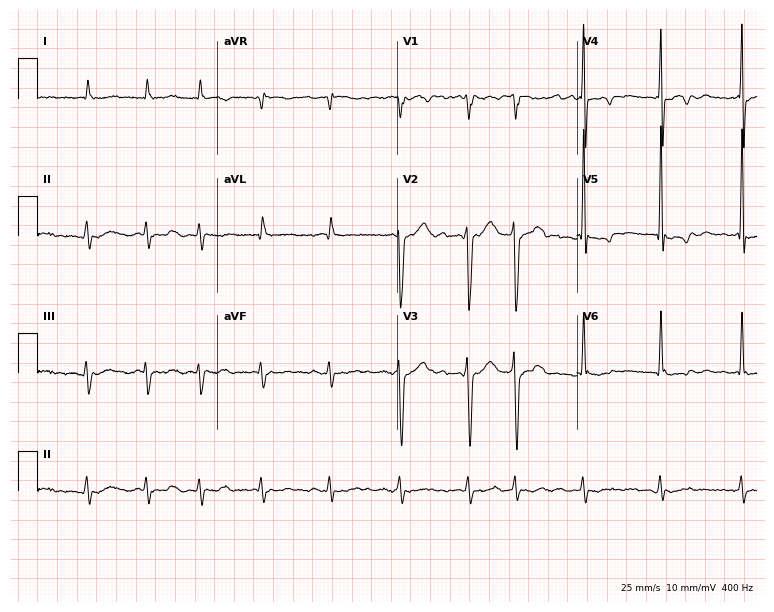
12-lead ECG from an 82-year-old man (7.3-second recording at 400 Hz). Shows atrial fibrillation.